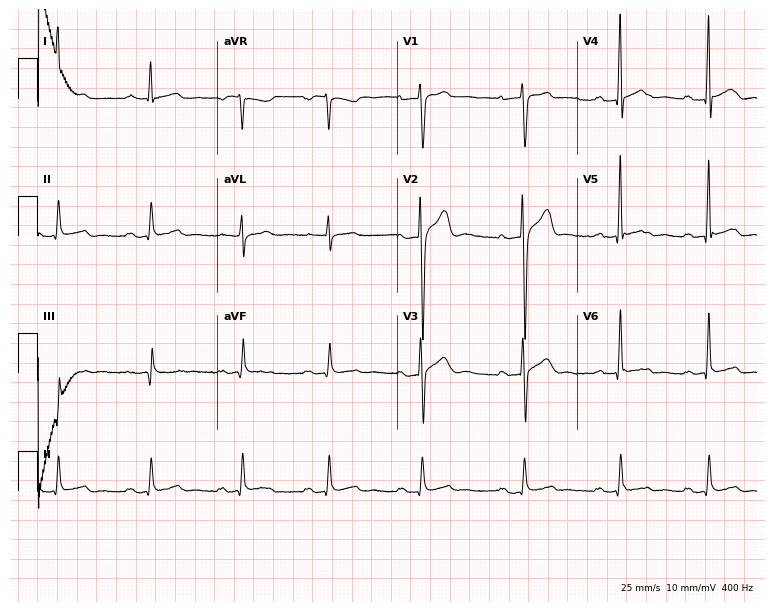
ECG (7.3-second recording at 400 Hz) — a 40-year-old man. Findings include first-degree AV block.